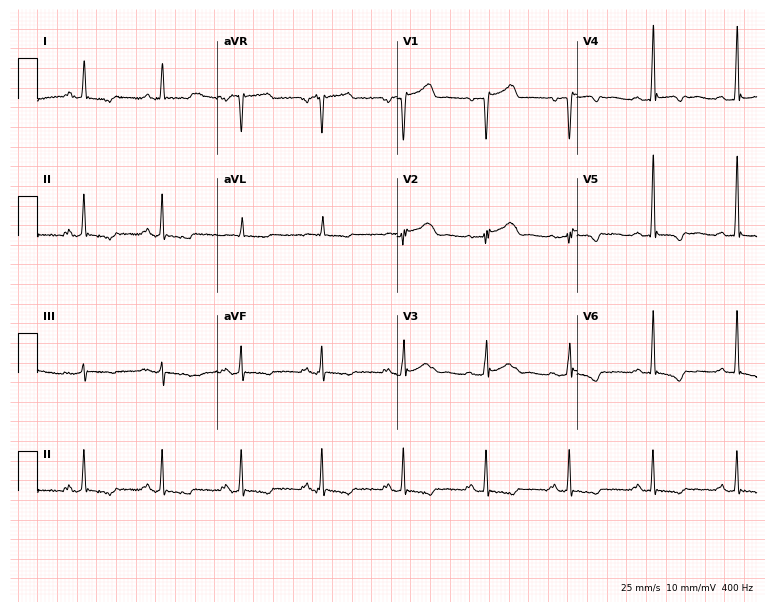
ECG — a man, 75 years old. Screened for six findings — first-degree AV block, right bundle branch block, left bundle branch block, sinus bradycardia, atrial fibrillation, sinus tachycardia — none is recorded. Only these six findings were labelled.